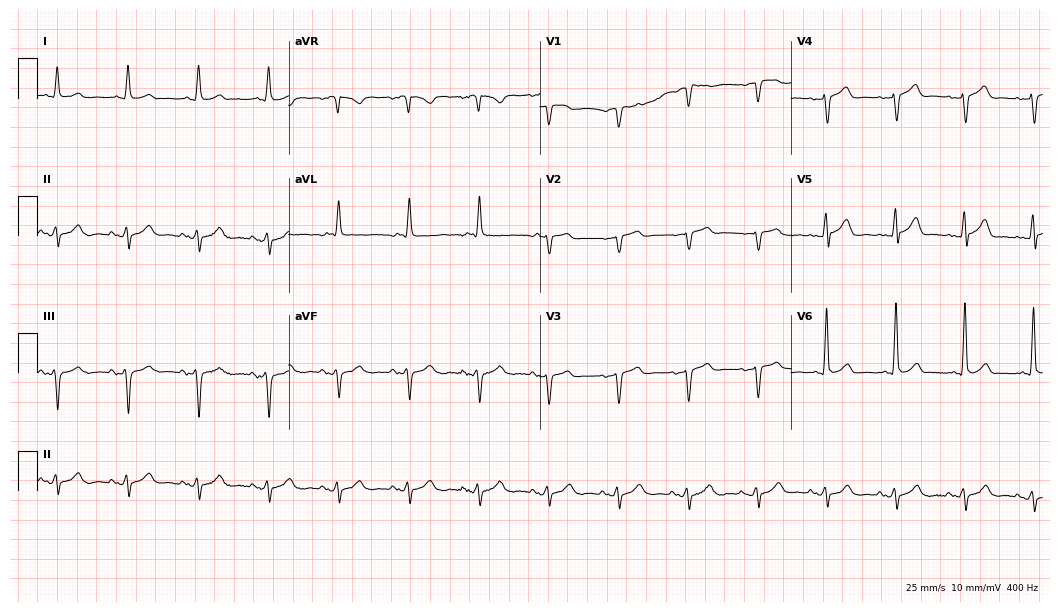
Resting 12-lead electrocardiogram (10.2-second recording at 400 Hz). Patient: a male, 81 years old. None of these six findings is recorded: first-degree AV block, right bundle branch block, left bundle branch block, sinus bradycardia, atrial fibrillation, sinus tachycardia. Other findings, if any, are not listed.